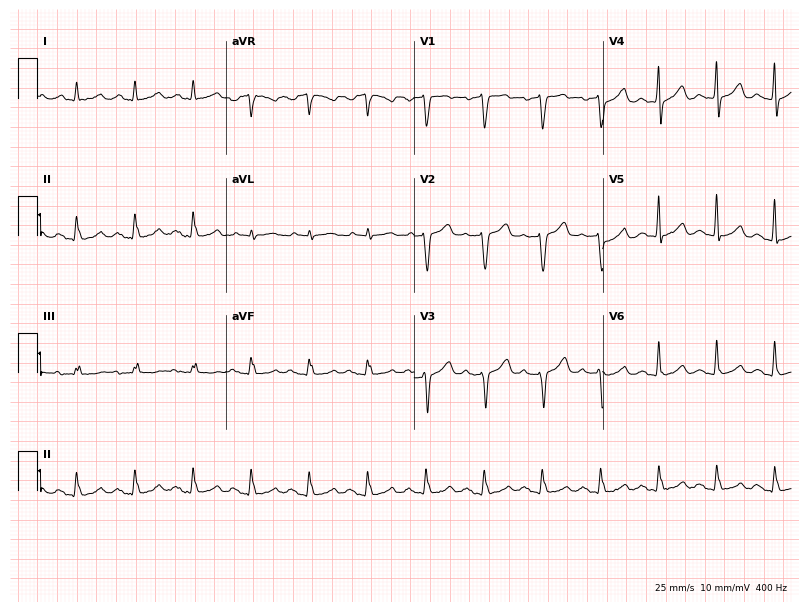
Resting 12-lead electrocardiogram. Patient: a 62-year-old male. Read as a normal ECG.